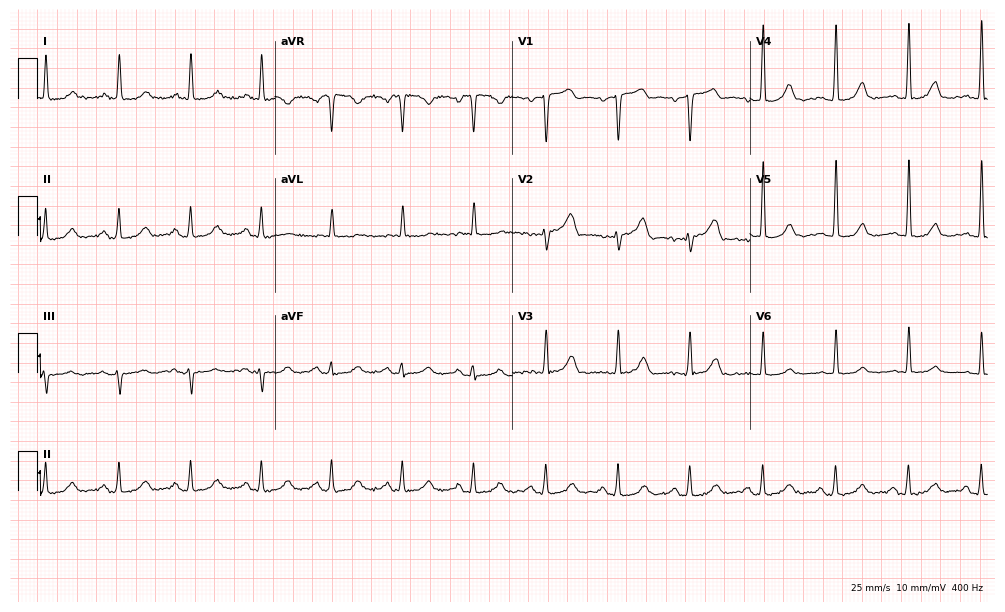
Standard 12-lead ECG recorded from an 80-year-old woman. Read as a normal ECG.